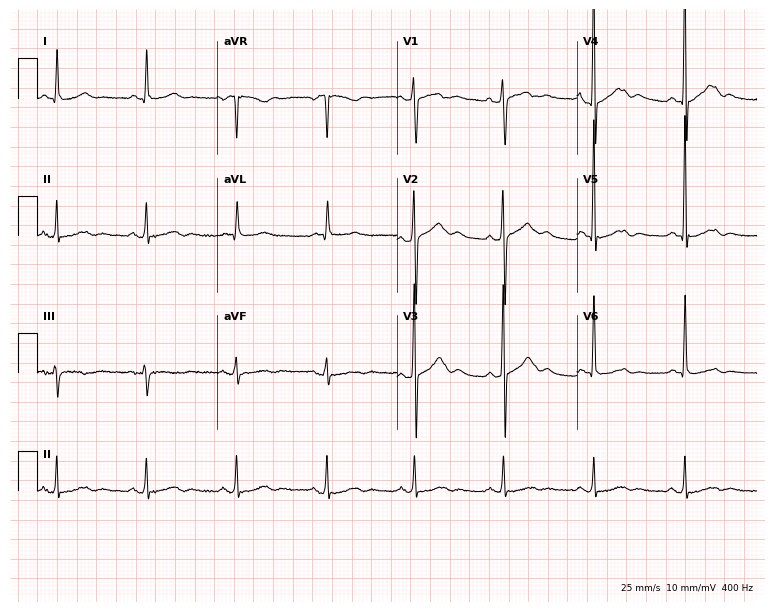
Standard 12-lead ECG recorded from an 80-year-old male patient. None of these six findings is recorded: first-degree AV block, right bundle branch block, left bundle branch block, sinus bradycardia, atrial fibrillation, sinus tachycardia. Other findings, if any, are not listed.